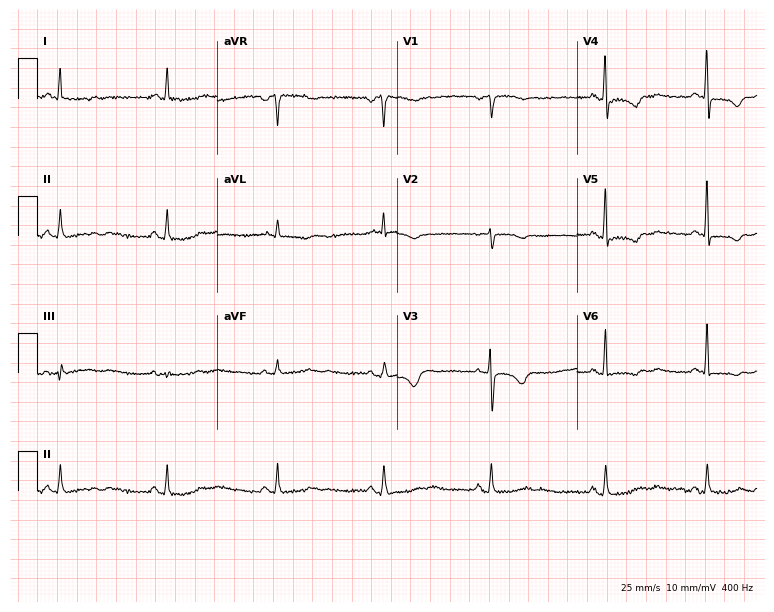
Resting 12-lead electrocardiogram. Patient: a 61-year-old female. None of these six findings is recorded: first-degree AV block, right bundle branch block, left bundle branch block, sinus bradycardia, atrial fibrillation, sinus tachycardia.